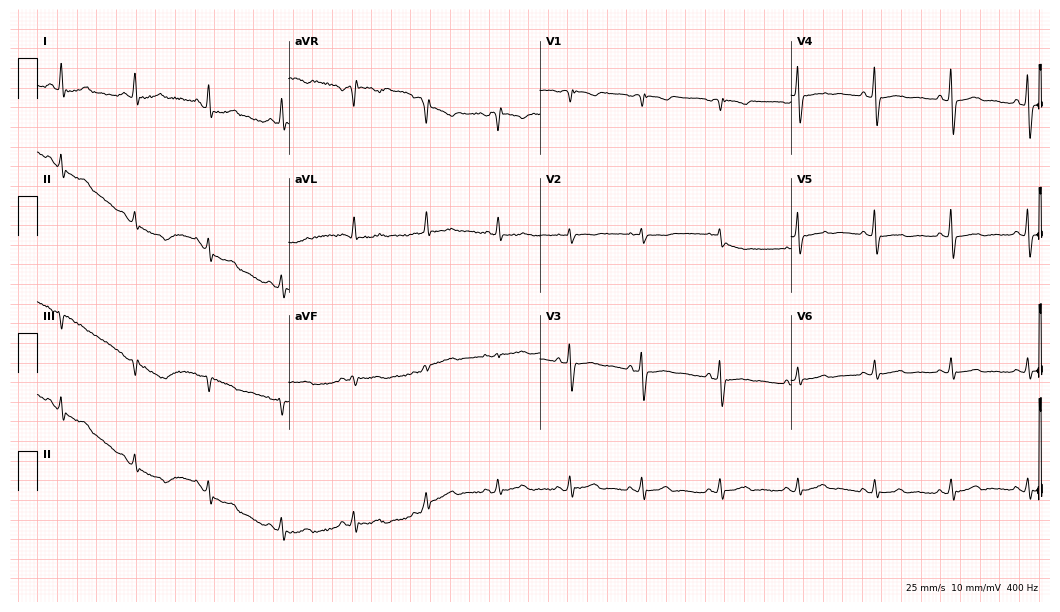
Electrocardiogram, a 77-year-old female. Of the six screened findings (first-degree AV block, right bundle branch block, left bundle branch block, sinus bradycardia, atrial fibrillation, sinus tachycardia), none is recorded.